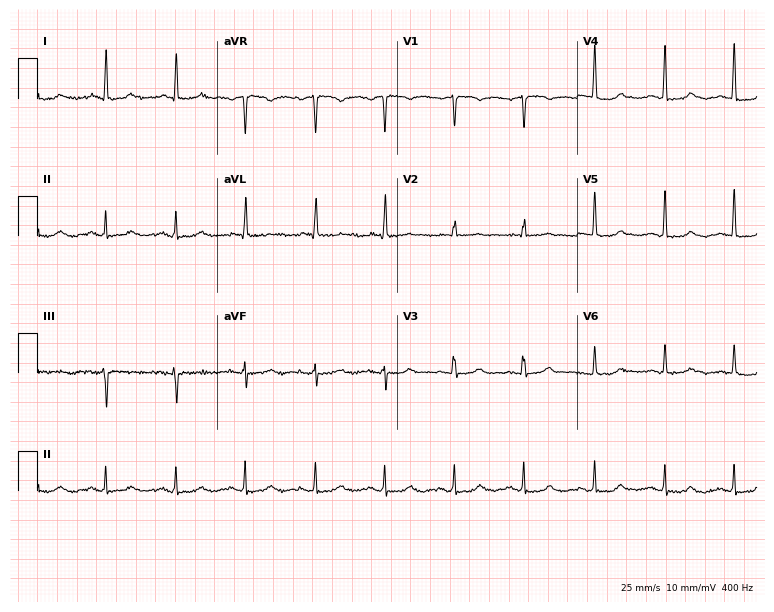
ECG — a 70-year-old female. Screened for six findings — first-degree AV block, right bundle branch block (RBBB), left bundle branch block (LBBB), sinus bradycardia, atrial fibrillation (AF), sinus tachycardia — none is recorded.